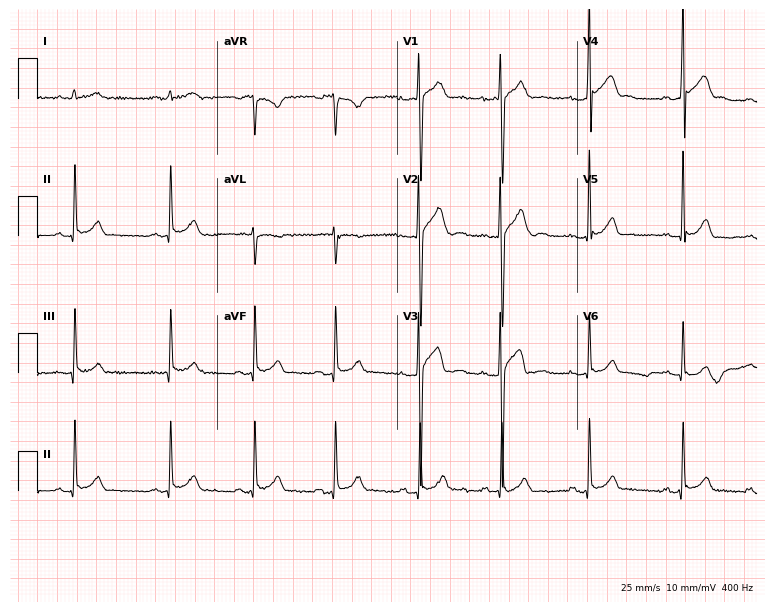
ECG — a 17-year-old male patient. Labelled as a normal ECG.